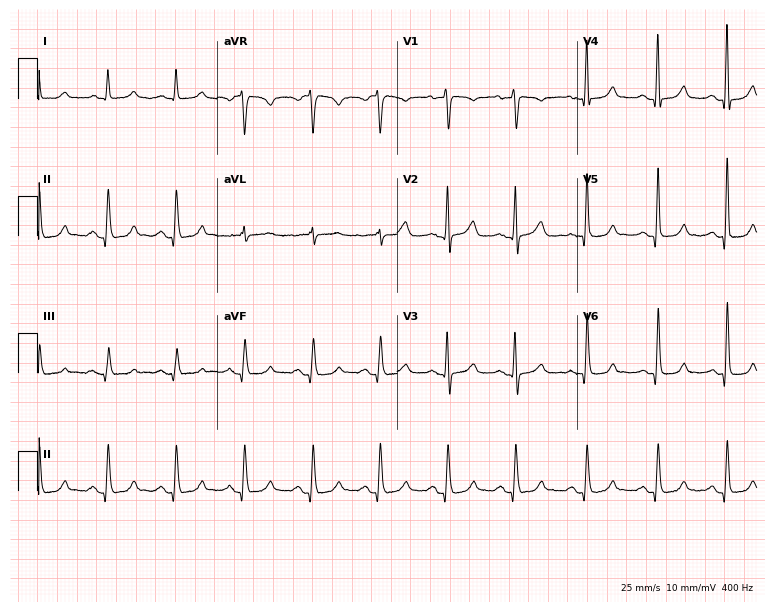
ECG (7.3-second recording at 400 Hz) — a 71-year-old female. Screened for six findings — first-degree AV block, right bundle branch block, left bundle branch block, sinus bradycardia, atrial fibrillation, sinus tachycardia — none is recorded.